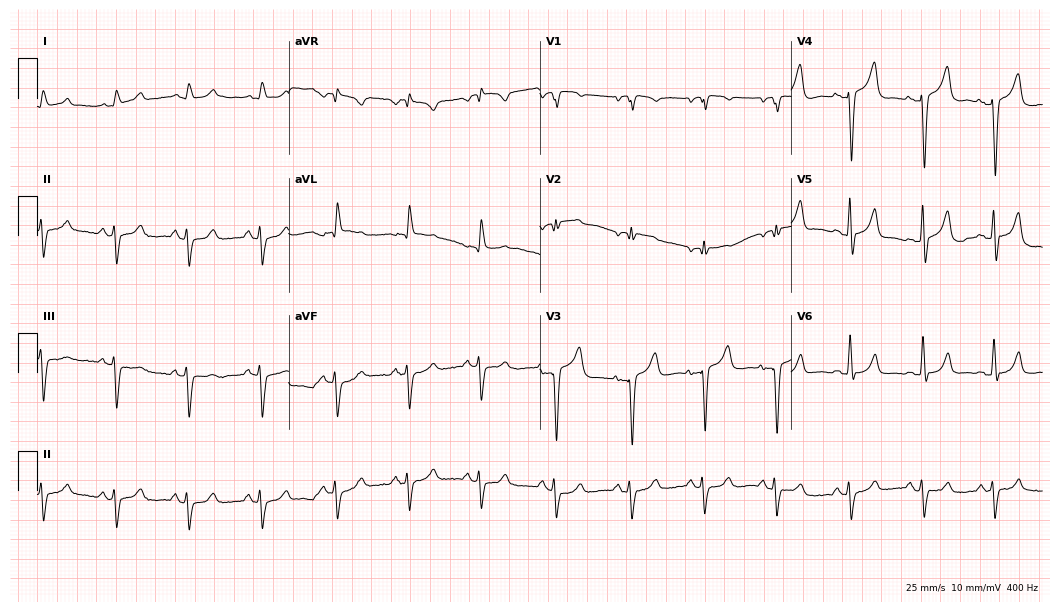
Standard 12-lead ECG recorded from a man, 73 years old. None of these six findings is recorded: first-degree AV block, right bundle branch block (RBBB), left bundle branch block (LBBB), sinus bradycardia, atrial fibrillation (AF), sinus tachycardia. Findings outside these six are not listed.